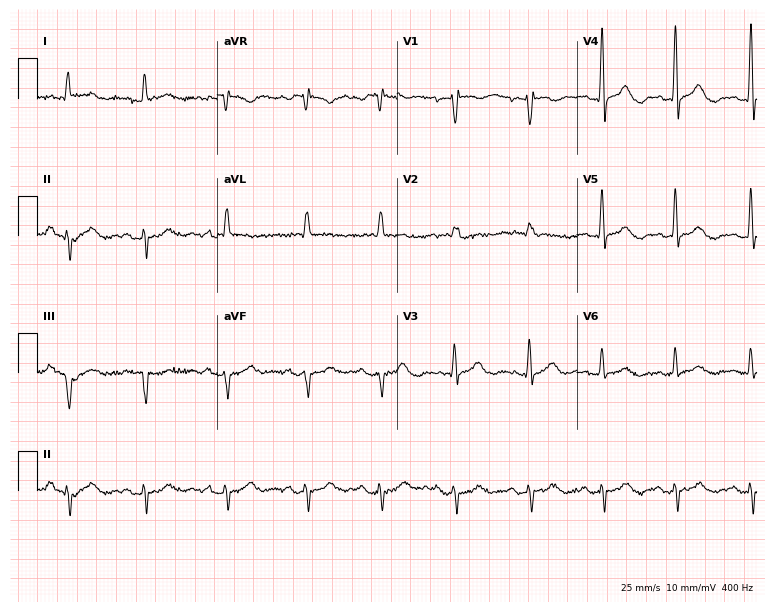
Standard 12-lead ECG recorded from a male patient, 70 years old. None of these six findings is recorded: first-degree AV block, right bundle branch block (RBBB), left bundle branch block (LBBB), sinus bradycardia, atrial fibrillation (AF), sinus tachycardia. Other findings, if any, are not listed.